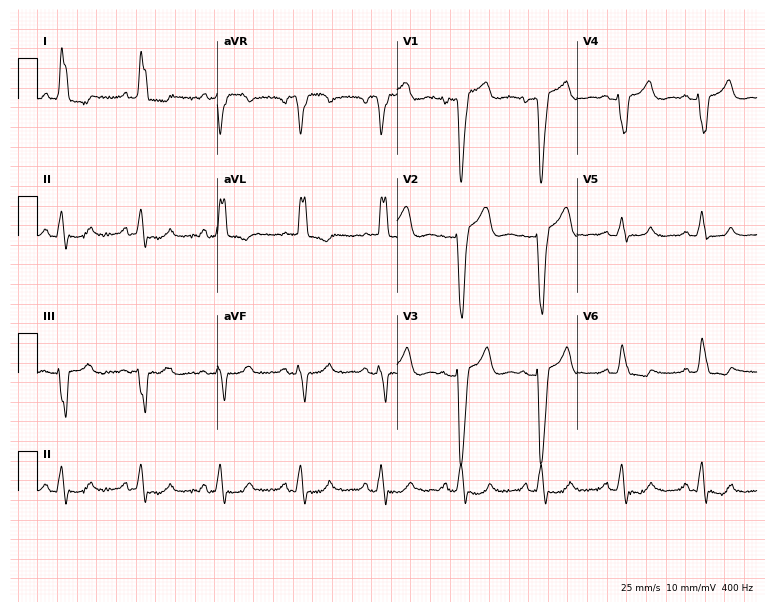
Resting 12-lead electrocardiogram. Patient: an 83-year-old female. The tracing shows left bundle branch block.